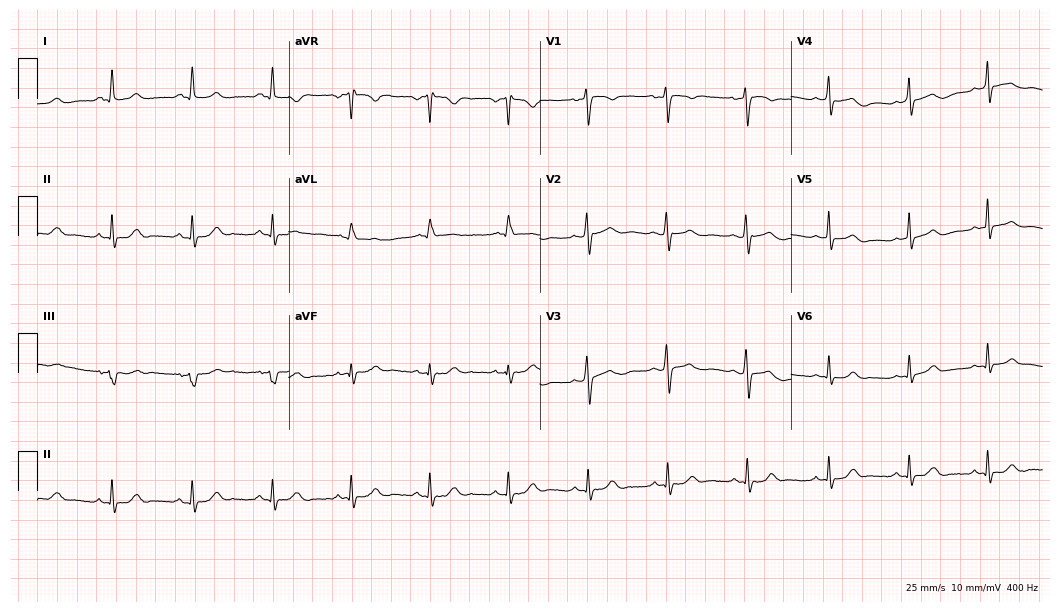
12-lead ECG from a 44-year-old woman. Labelled as a normal ECG.